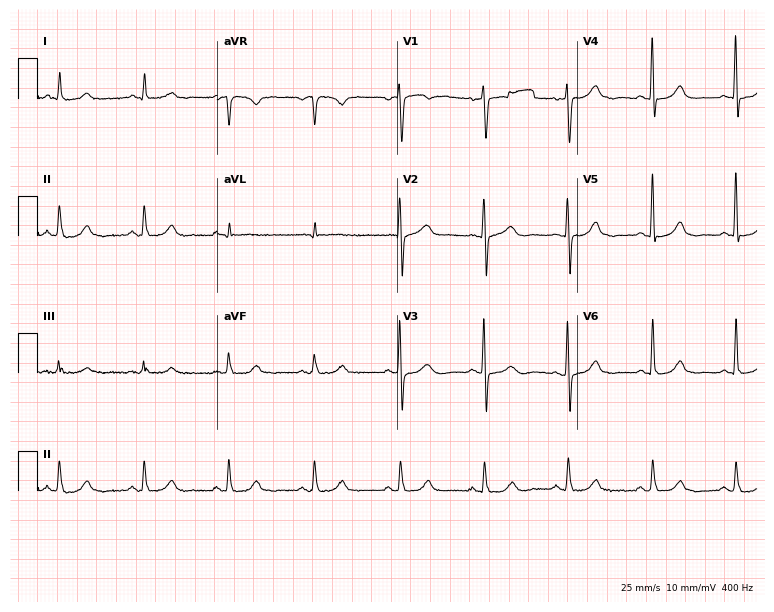
ECG — a female, 69 years old. Labelled as a normal ECG.